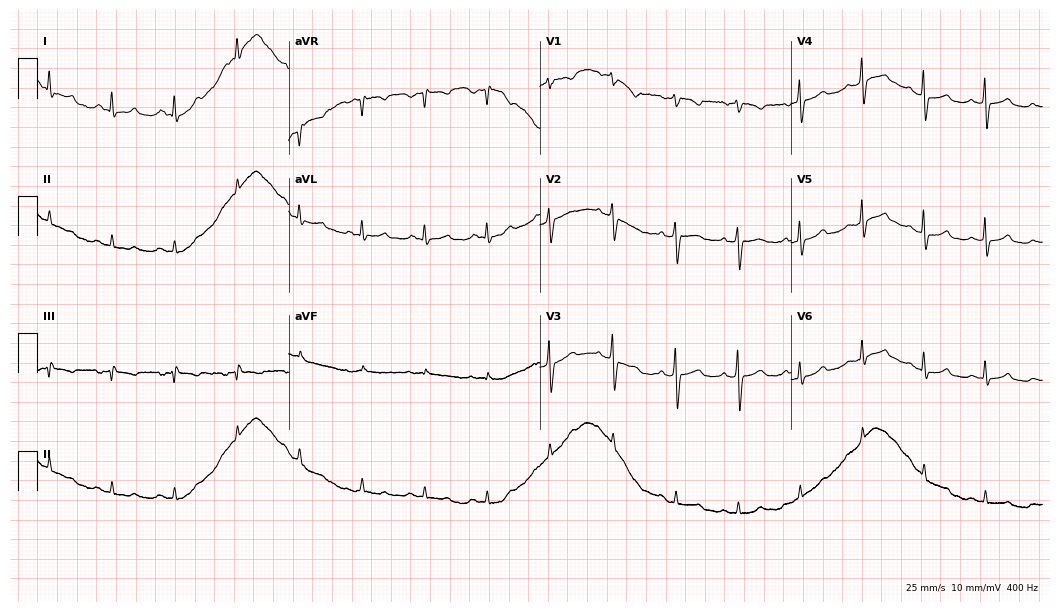
Electrocardiogram (10.2-second recording at 400 Hz), a 72-year-old female patient. Of the six screened findings (first-degree AV block, right bundle branch block (RBBB), left bundle branch block (LBBB), sinus bradycardia, atrial fibrillation (AF), sinus tachycardia), none is recorded. Other findings, if any, are not listed.